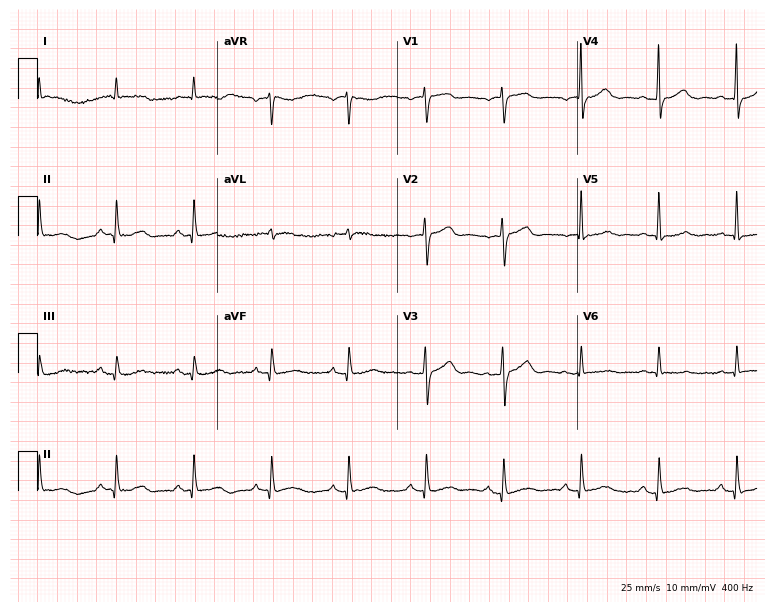
12-lead ECG from a man, 85 years old (7.3-second recording at 400 Hz). No first-degree AV block, right bundle branch block (RBBB), left bundle branch block (LBBB), sinus bradycardia, atrial fibrillation (AF) or sinus tachycardia recorded for this tracing. Other findings, if any, are not listed.